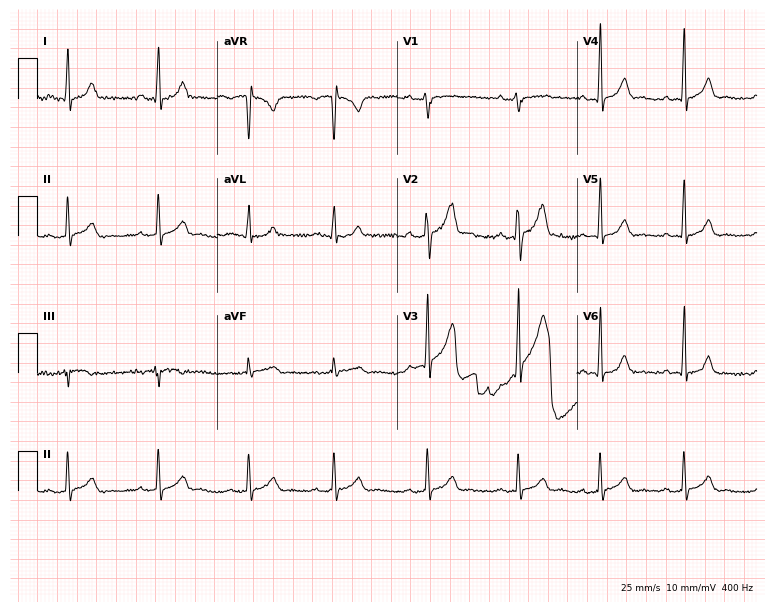
ECG — a 20-year-old man. Labelled as a normal ECG.